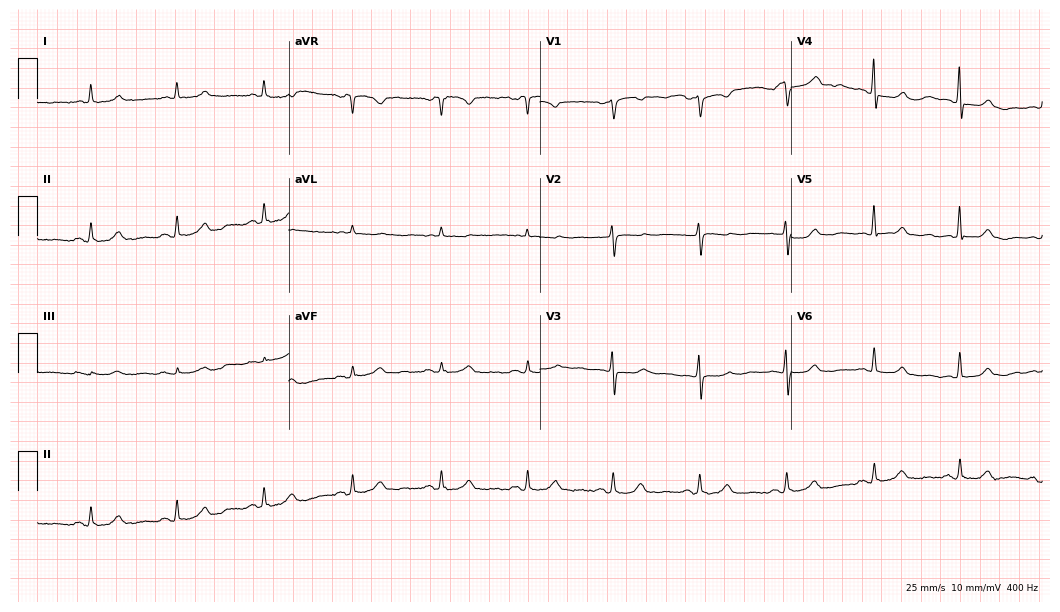
12-lead ECG from a 71-year-old woman. Labelled as a normal ECG.